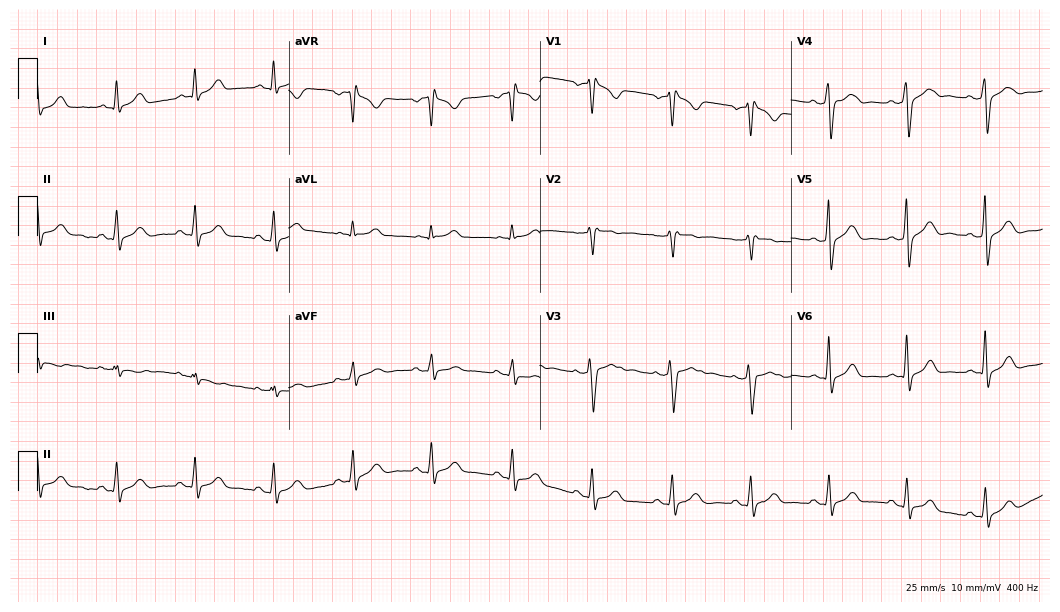
12-lead ECG from a man, 53 years old. No first-degree AV block, right bundle branch block (RBBB), left bundle branch block (LBBB), sinus bradycardia, atrial fibrillation (AF) or sinus tachycardia recorded for this tracing. Only these six findings were labelled.